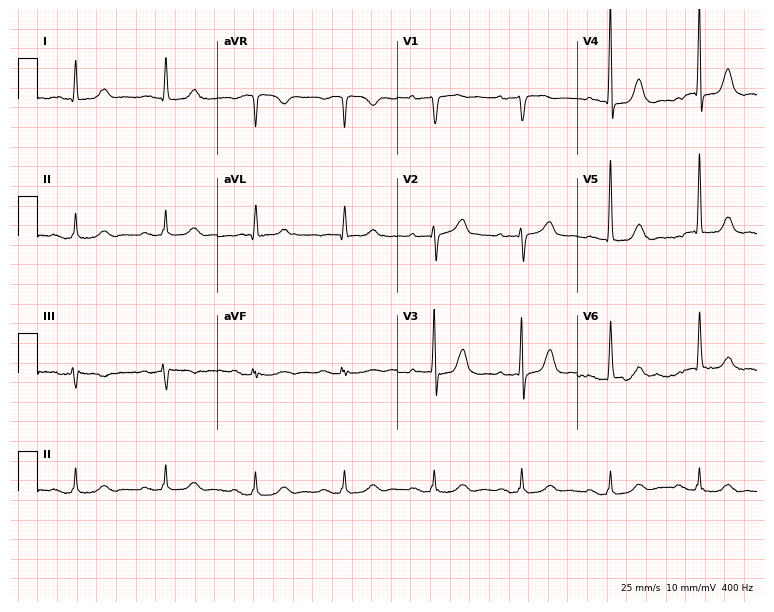
Resting 12-lead electrocardiogram (7.3-second recording at 400 Hz). Patient: a female, 83 years old. The tracing shows first-degree AV block.